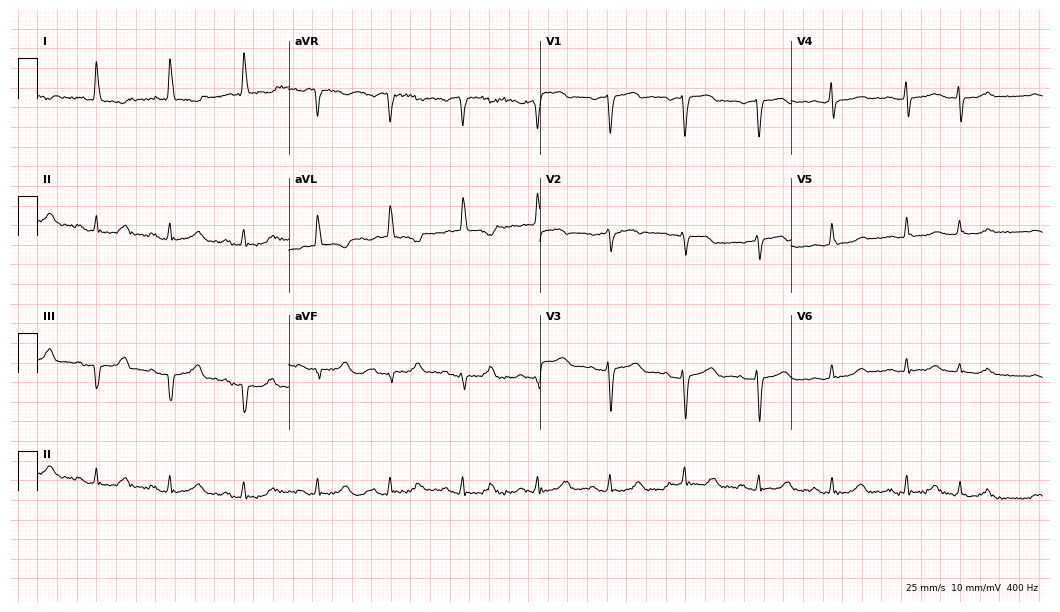
12-lead ECG from a woman, 75 years old (10.2-second recording at 400 Hz). No first-degree AV block, right bundle branch block, left bundle branch block, sinus bradycardia, atrial fibrillation or sinus tachycardia recorded for this tracing.